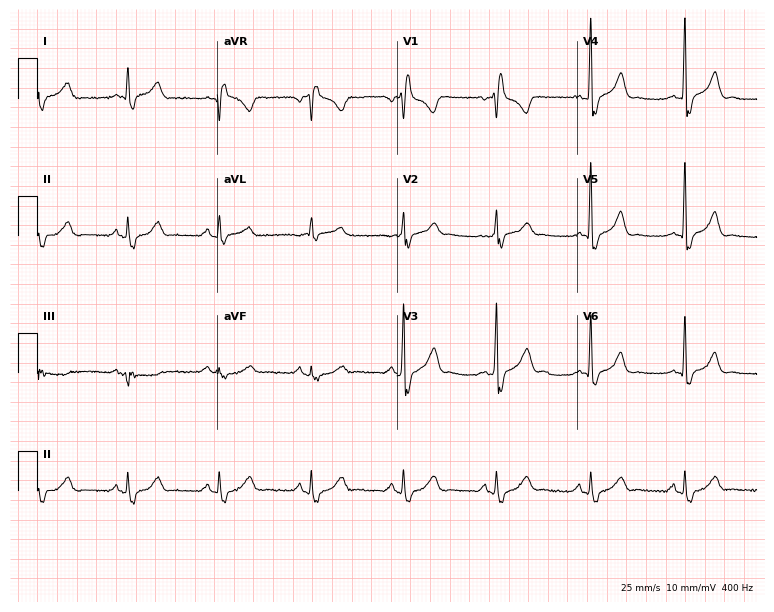
Electrocardiogram, a man, 58 years old. Interpretation includes right bundle branch block.